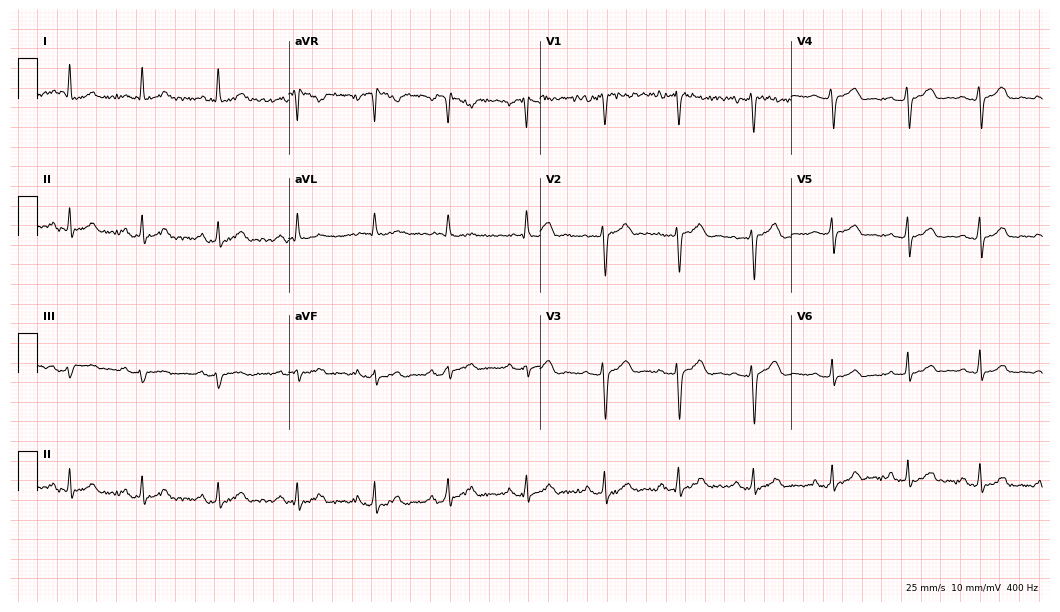
ECG (10.2-second recording at 400 Hz) — a woman, 31 years old. Labelled as a normal ECG.